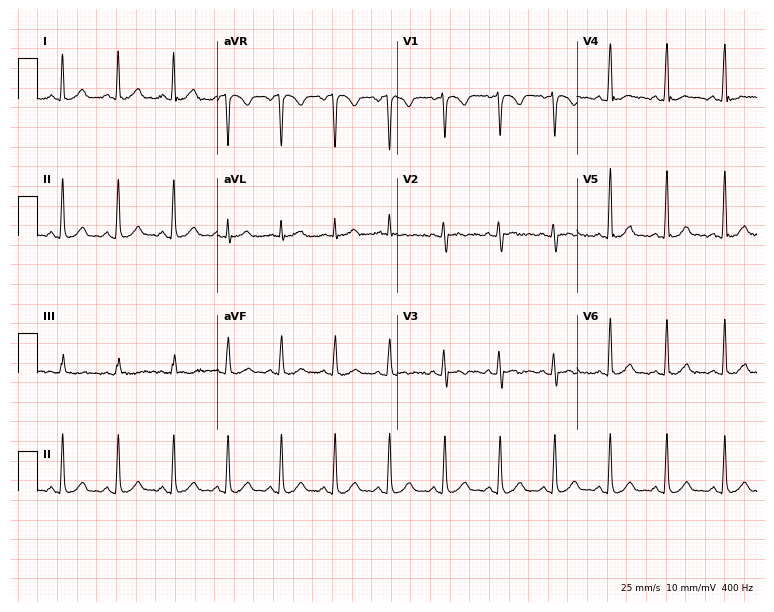
12-lead ECG (7.3-second recording at 400 Hz) from a 47-year-old female patient. Findings include sinus tachycardia (a sinus rate of 100 beats per minute or more).